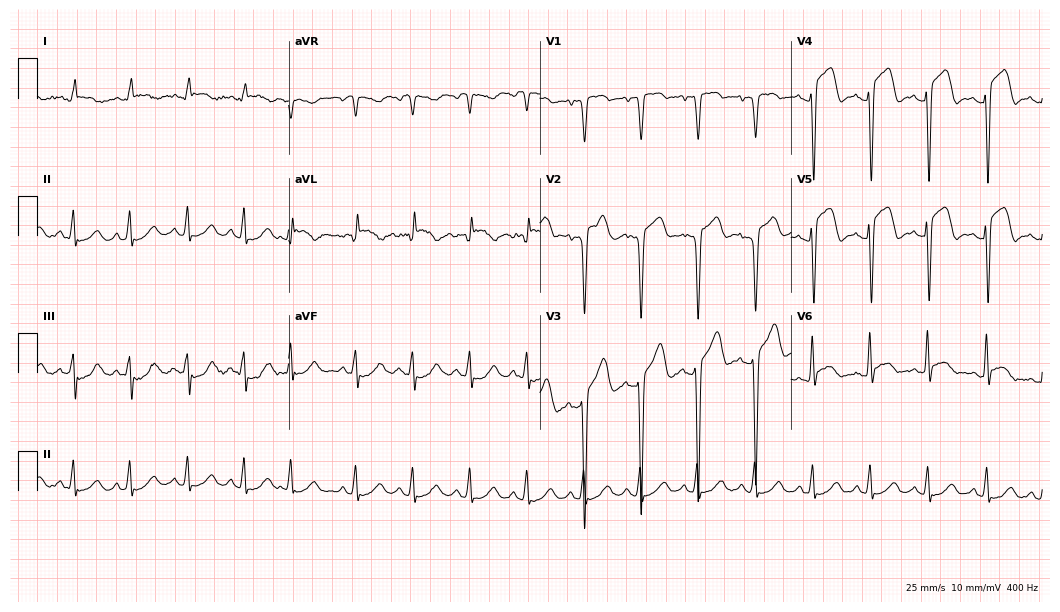
12-lead ECG from a 63-year-old man. Screened for six findings — first-degree AV block, right bundle branch block, left bundle branch block, sinus bradycardia, atrial fibrillation, sinus tachycardia — none is recorded.